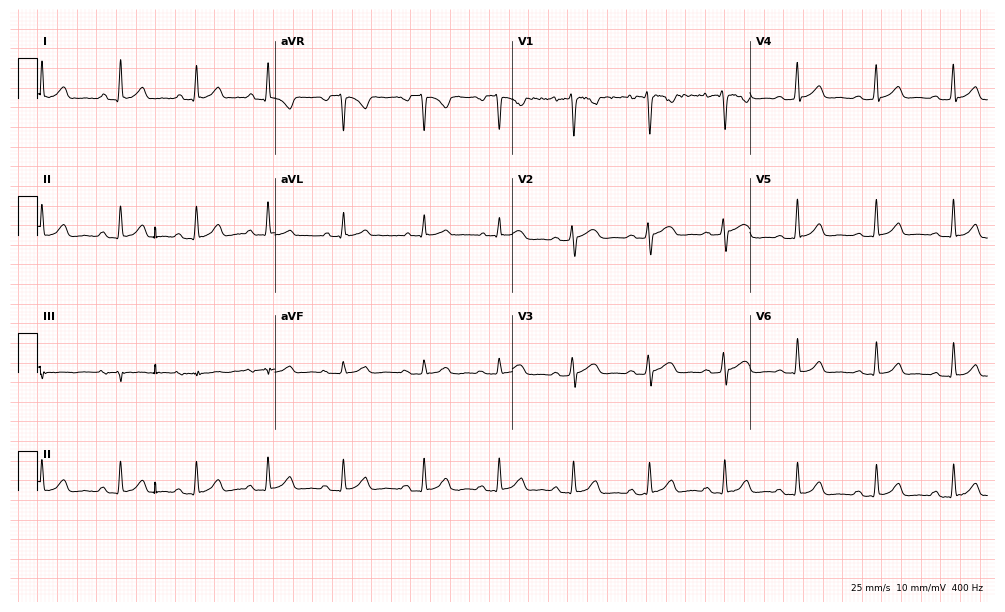
Resting 12-lead electrocardiogram. Patient: a 29-year-old female. Read as a normal ECG.